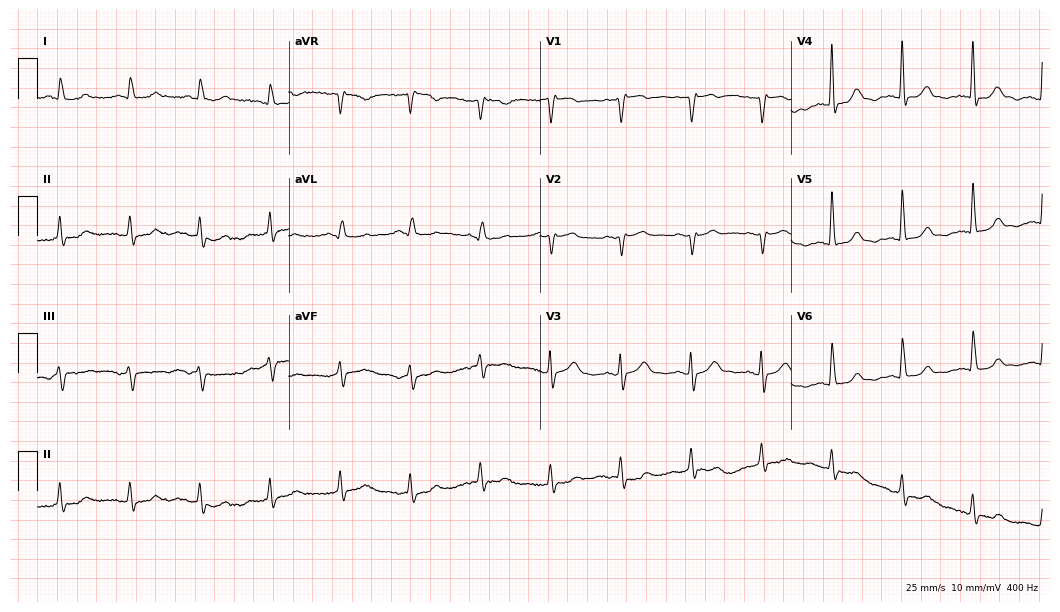
ECG — an 82-year-old man. Labelled as a normal ECG.